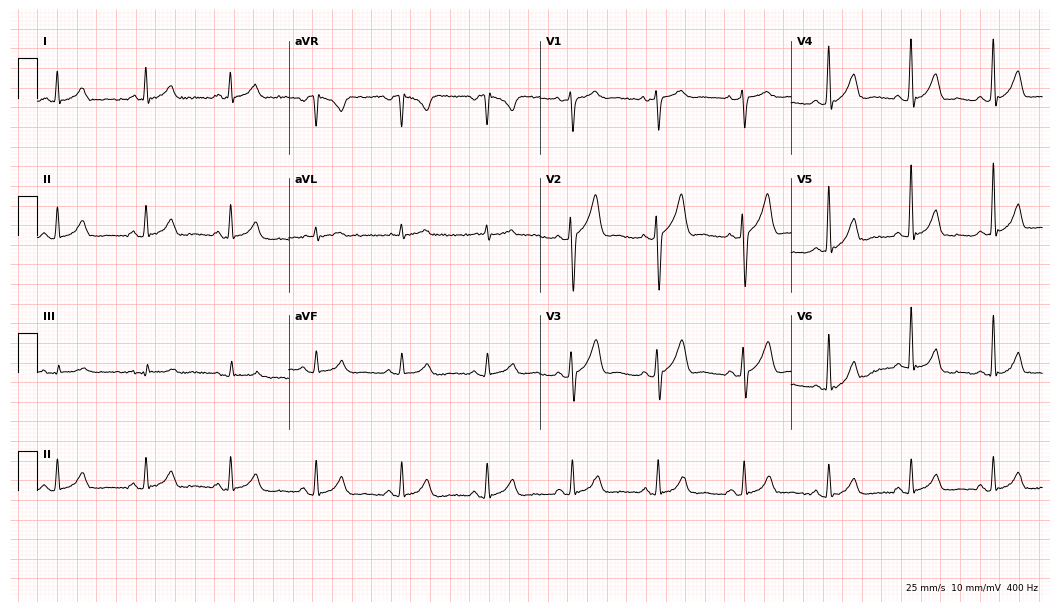
Electrocardiogram, a male, 24 years old. Of the six screened findings (first-degree AV block, right bundle branch block, left bundle branch block, sinus bradycardia, atrial fibrillation, sinus tachycardia), none is recorded.